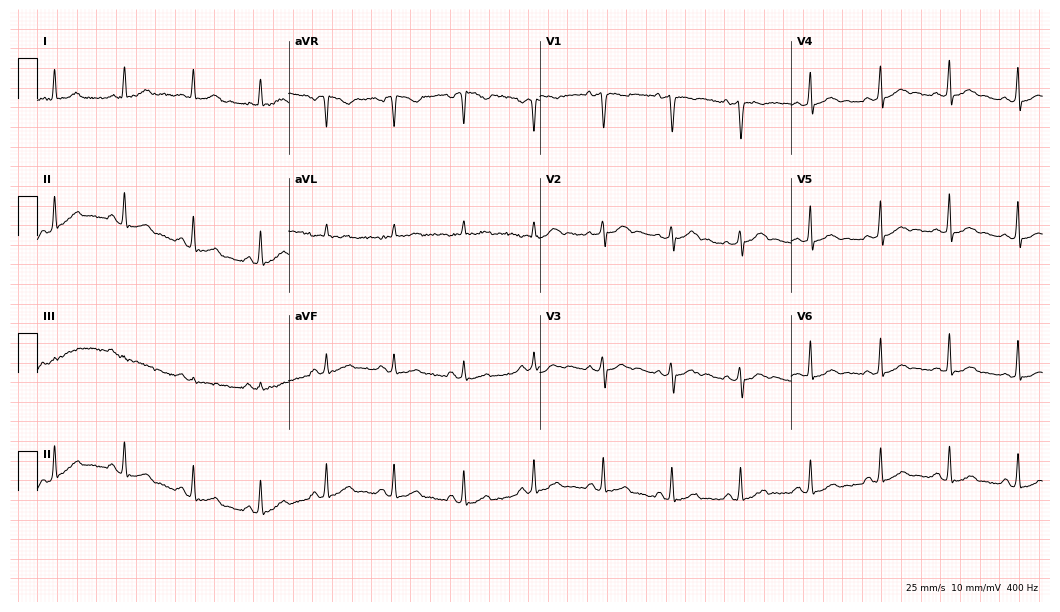
12-lead ECG (10.2-second recording at 400 Hz) from a woman, 42 years old. Labelled as a normal ECG.